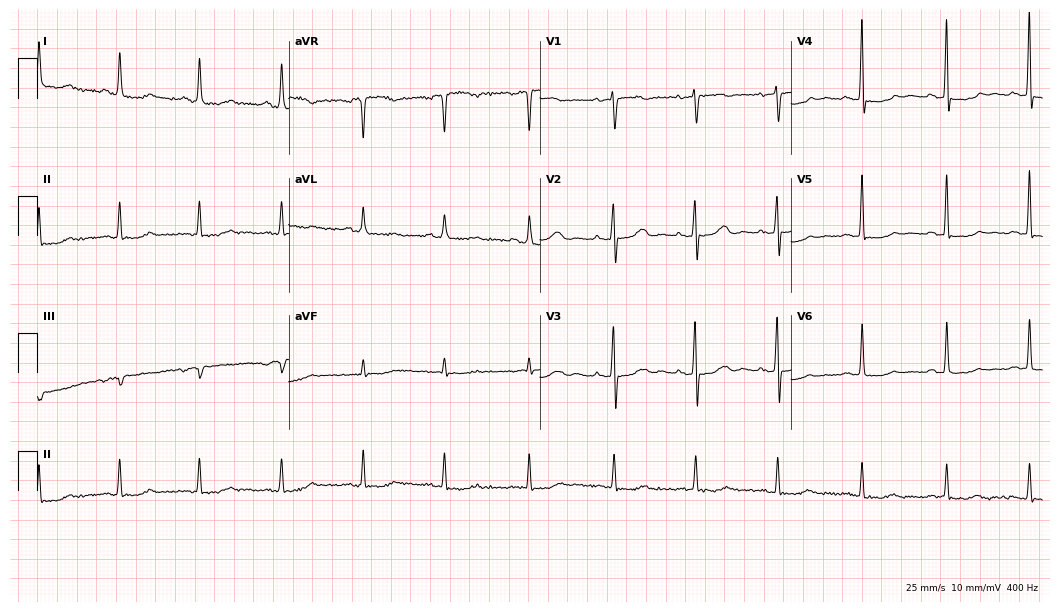
Electrocardiogram (10.2-second recording at 400 Hz), a 69-year-old woman. Overall reading on record: normal ECG.